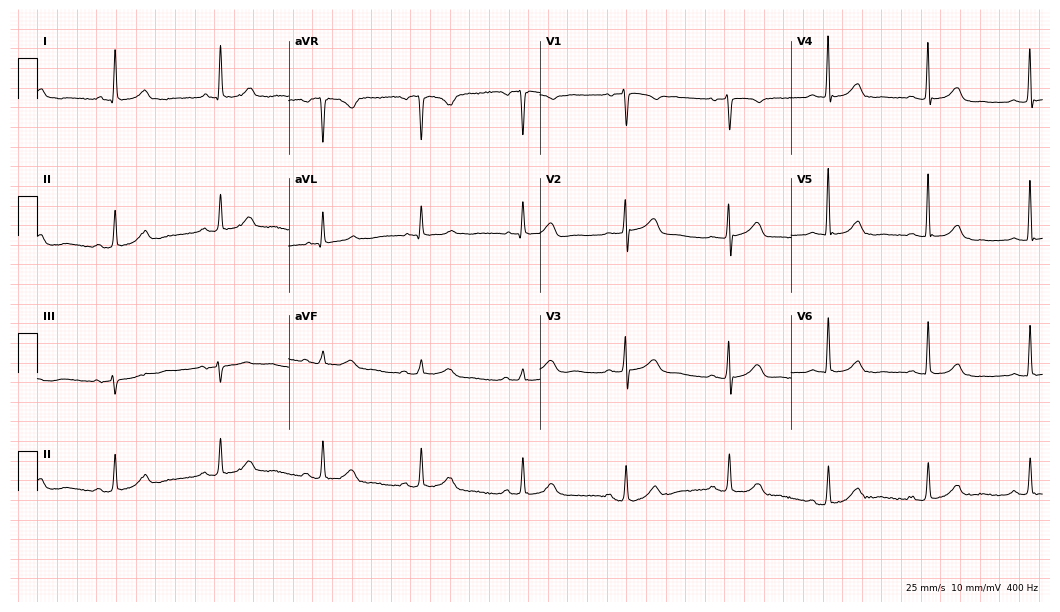
Electrocardiogram (10.2-second recording at 400 Hz), a woman, 59 years old. Overall reading on record: normal ECG.